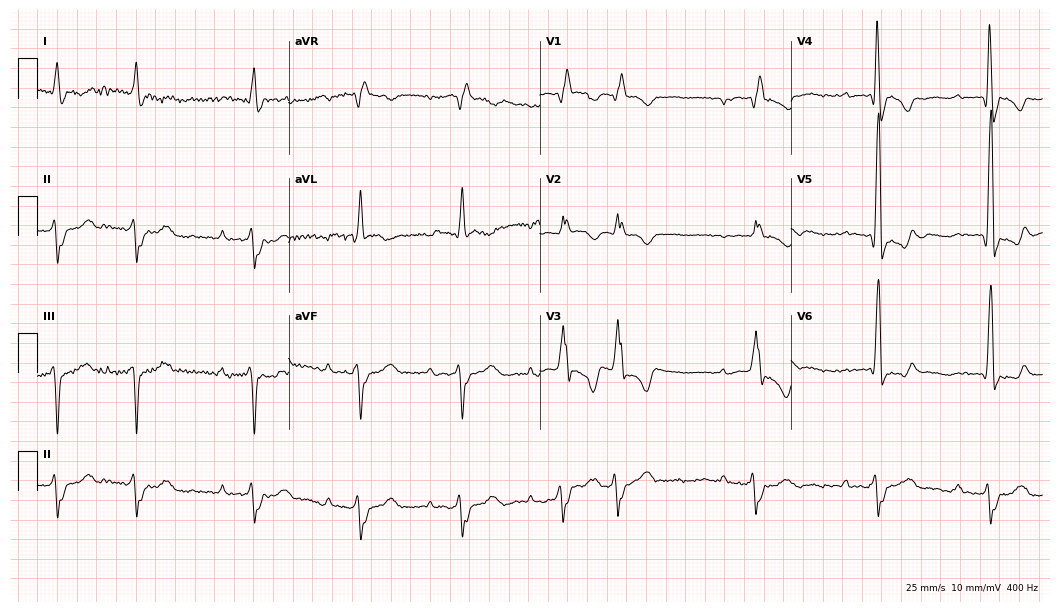
Resting 12-lead electrocardiogram (10.2-second recording at 400 Hz). Patient: an 82-year-old male. None of these six findings is recorded: first-degree AV block, right bundle branch block (RBBB), left bundle branch block (LBBB), sinus bradycardia, atrial fibrillation (AF), sinus tachycardia. Only these six findings were labelled.